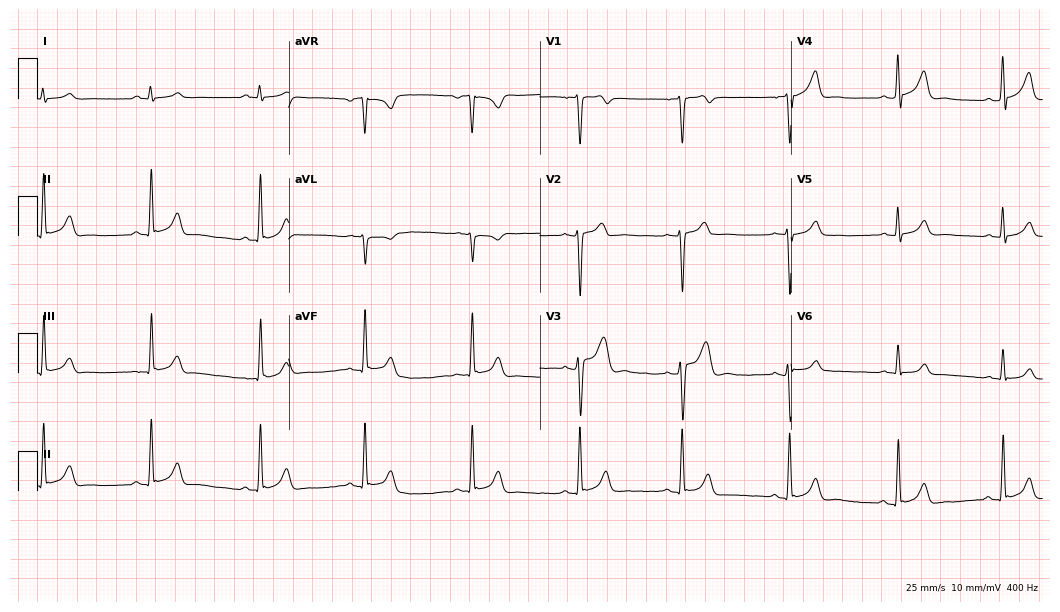
12-lead ECG from a 27-year-old male patient. Labelled as a normal ECG.